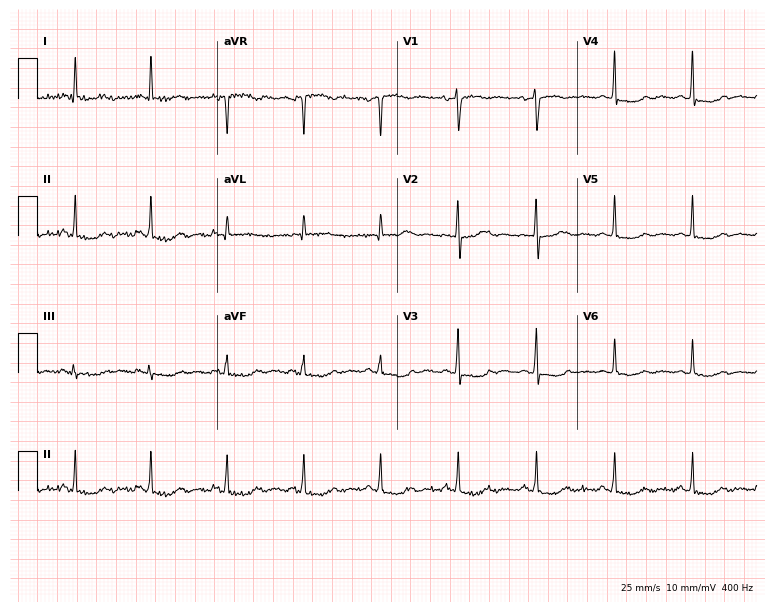
ECG (7.3-second recording at 400 Hz) — a female patient, 76 years old. Screened for six findings — first-degree AV block, right bundle branch block, left bundle branch block, sinus bradycardia, atrial fibrillation, sinus tachycardia — none is recorded.